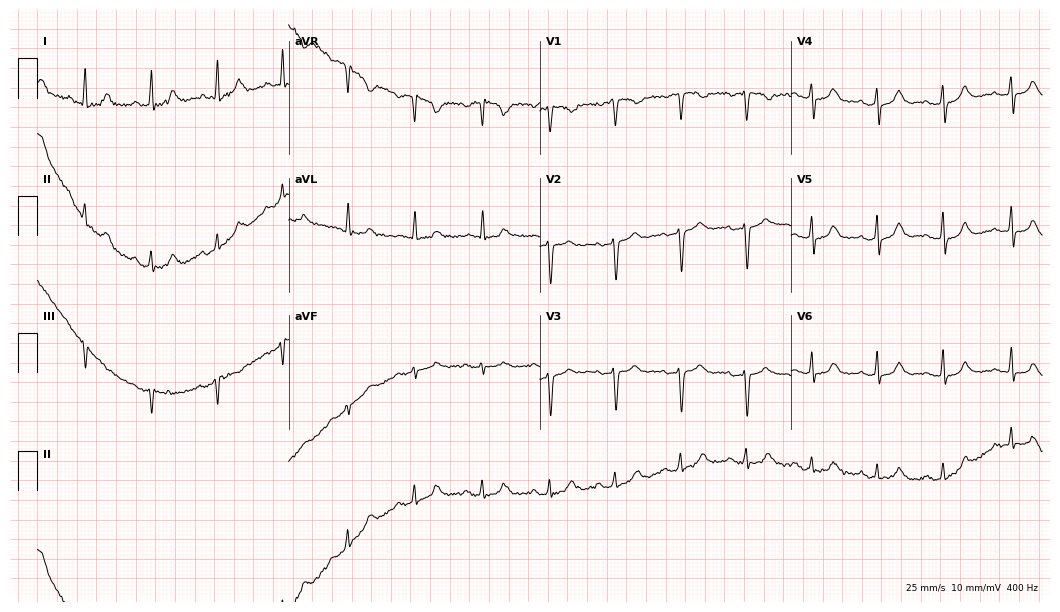
Resting 12-lead electrocardiogram. Patient: a 52-year-old female. None of these six findings is recorded: first-degree AV block, right bundle branch block, left bundle branch block, sinus bradycardia, atrial fibrillation, sinus tachycardia. Other findings, if any, are not listed.